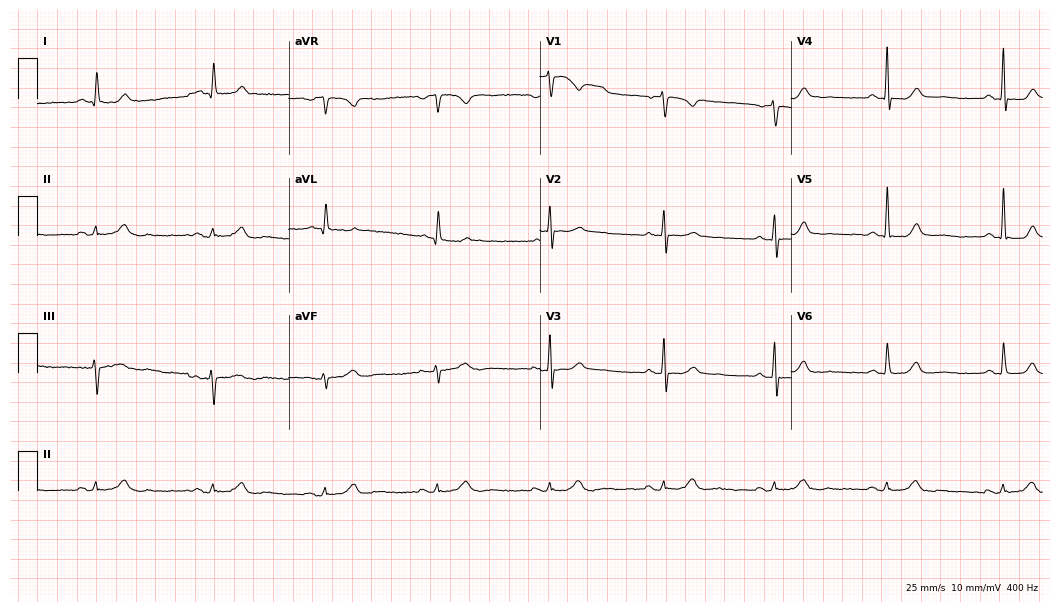
Resting 12-lead electrocardiogram. Patient: a female, 67 years old. Read as a normal ECG.